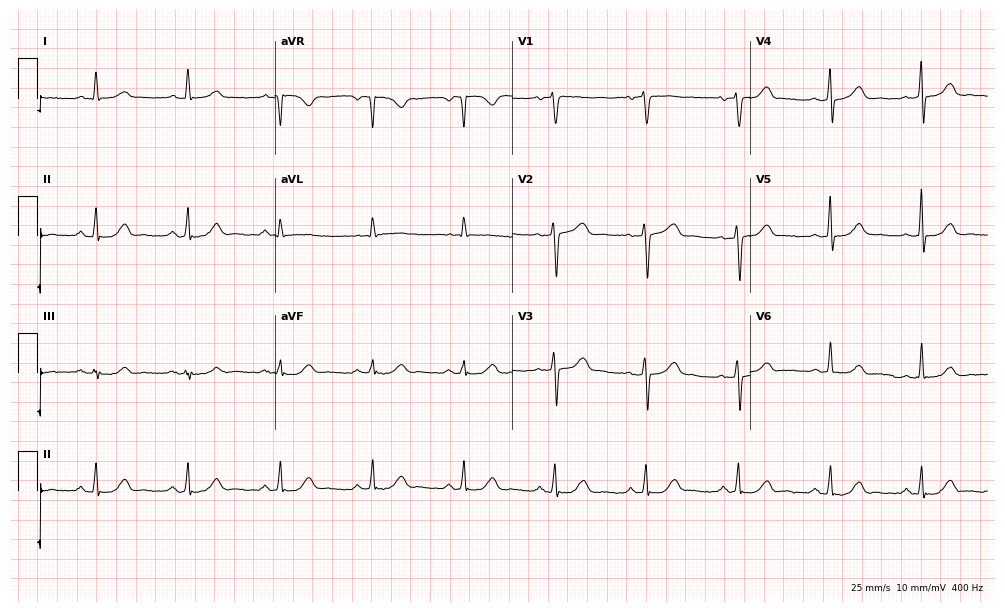
Resting 12-lead electrocardiogram. Patient: a woman, 74 years old. Read as a normal ECG.